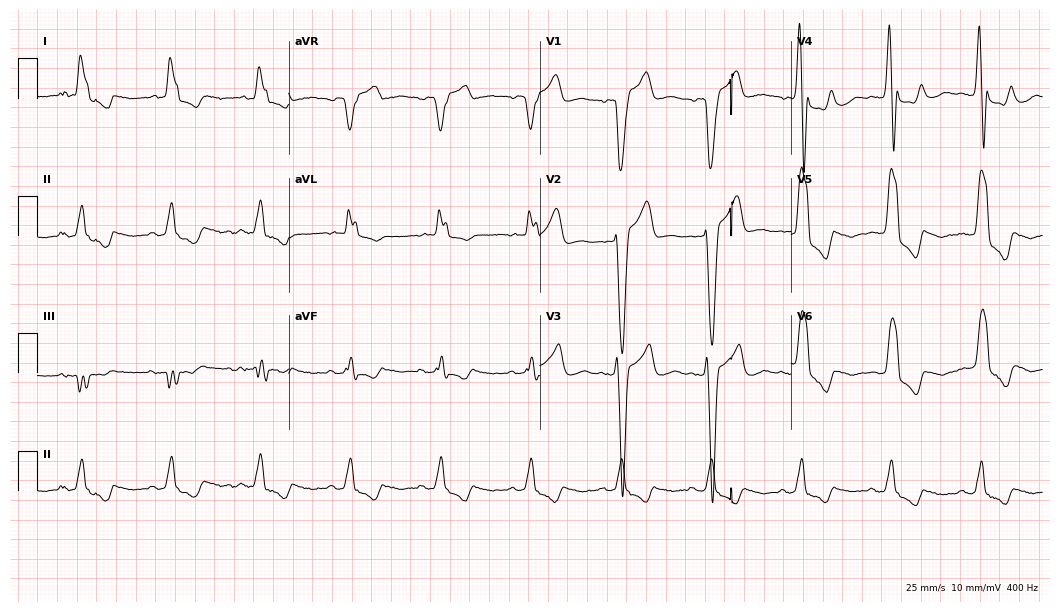
Standard 12-lead ECG recorded from a male patient, 81 years old (10.2-second recording at 400 Hz). The tracing shows left bundle branch block (LBBB).